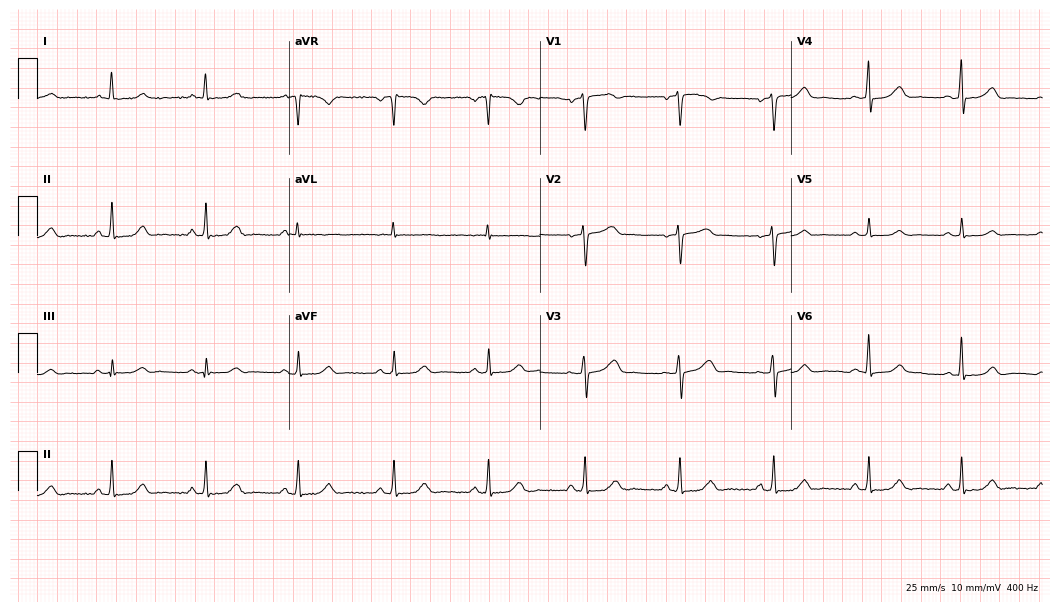
12-lead ECG from a female patient, 39 years old. Labelled as a normal ECG.